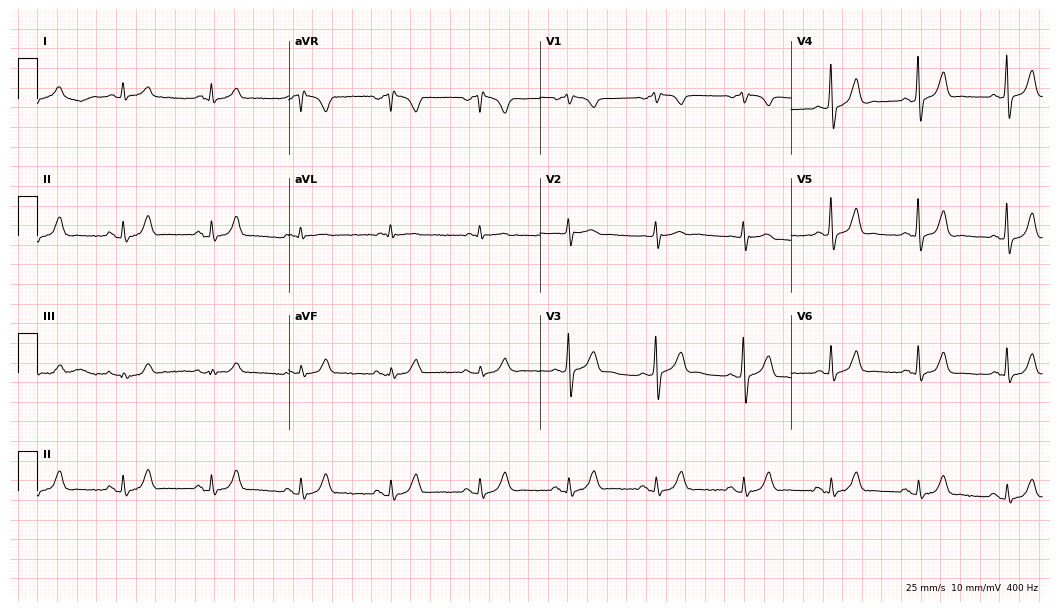
12-lead ECG from a man, 66 years old (10.2-second recording at 400 Hz). No first-degree AV block, right bundle branch block, left bundle branch block, sinus bradycardia, atrial fibrillation or sinus tachycardia recorded for this tracing.